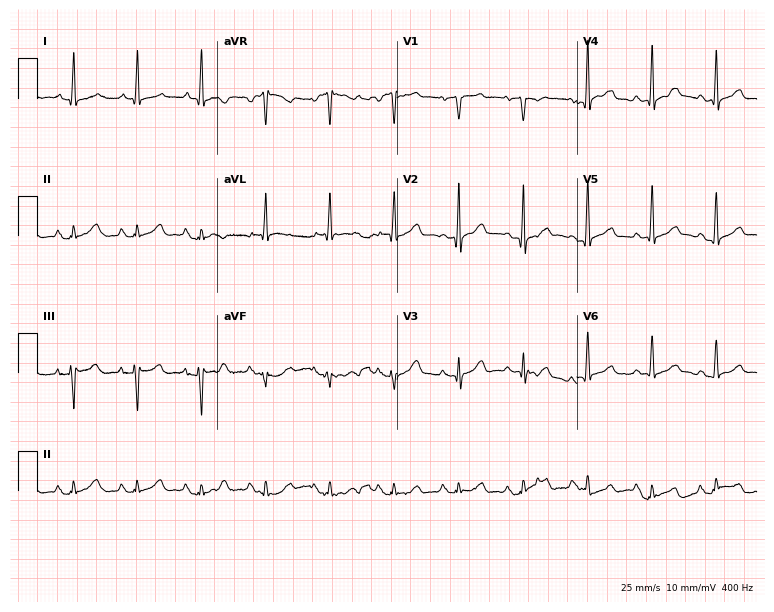
12-lead ECG (7.3-second recording at 400 Hz) from a male, 75 years old. Labelled as a normal ECG.